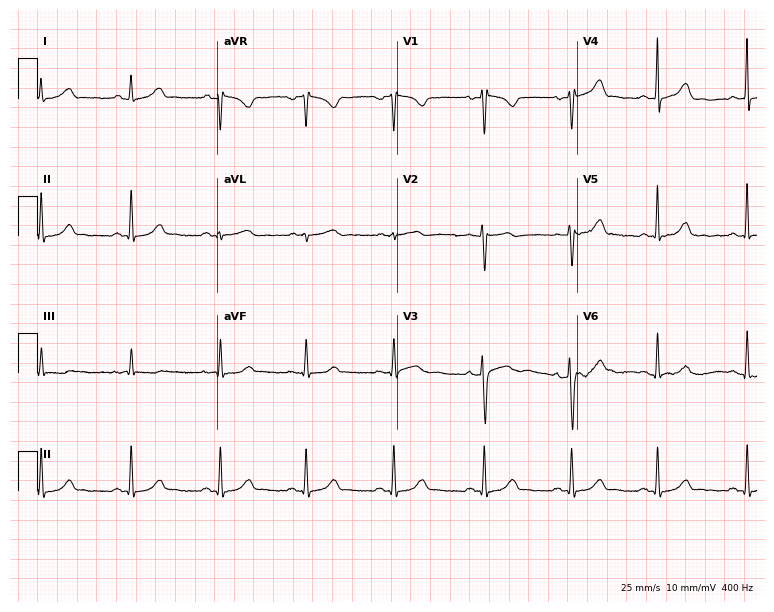
Standard 12-lead ECG recorded from a female, 27 years old (7.3-second recording at 400 Hz). Read as a normal ECG.